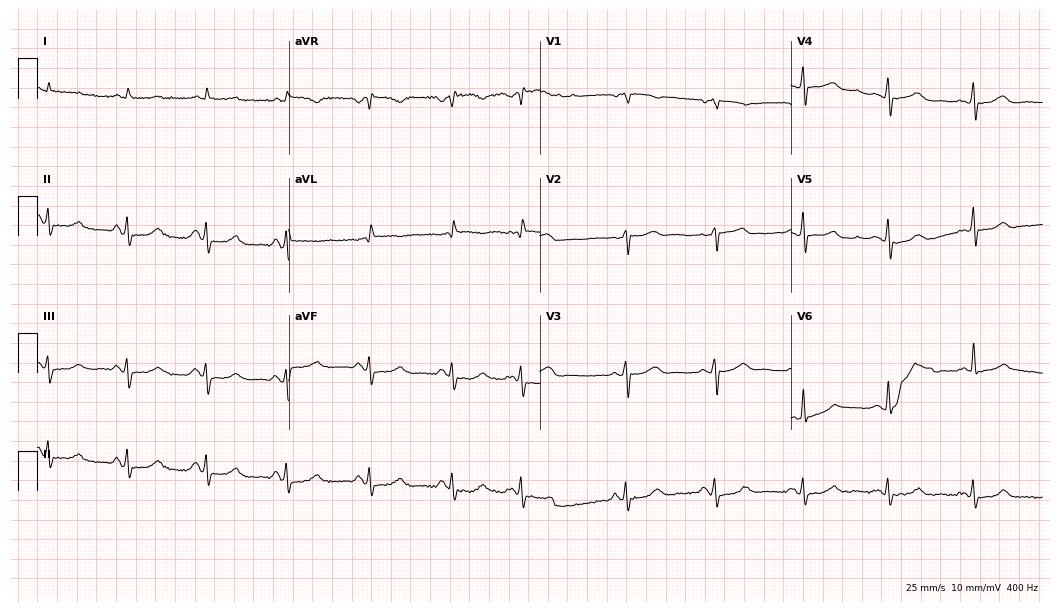
Standard 12-lead ECG recorded from an 80-year-old male patient. None of these six findings is recorded: first-degree AV block, right bundle branch block (RBBB), left bundle branch block (LBBB), sinus bradycardia, atrial fibrillation (AF), sinus tachycardia.